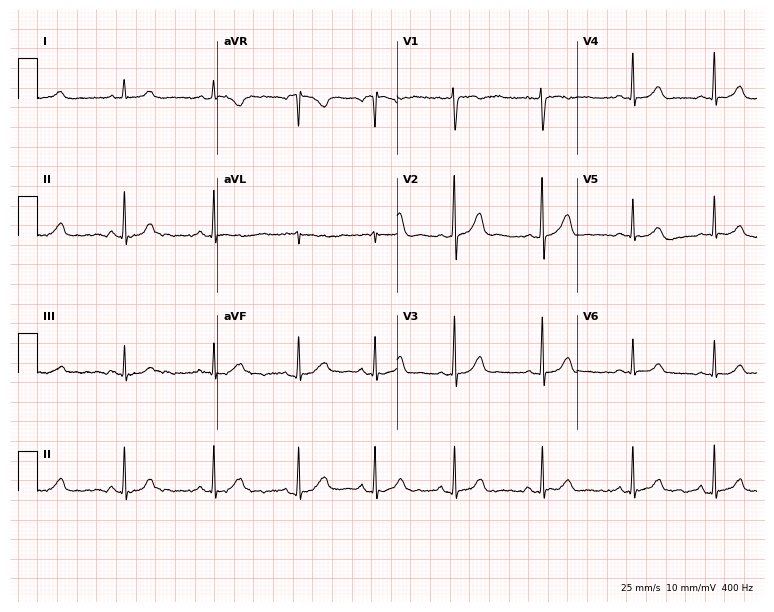
Standard 12-lead ECG recorded from a female, 18 years old. None of these six findings is recorded: first-degree AV block, right bundle branch block, left bundle branch block, sinus bradycardia, atrial fibrillation, sinus tachycardia.